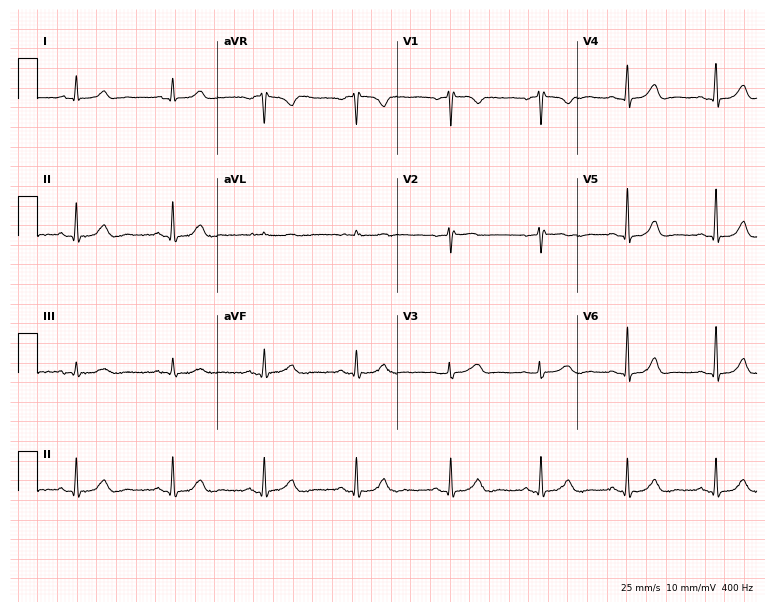
12-lead ECG from a woman, 49 years old. Recorded interpretation: within normal limits.